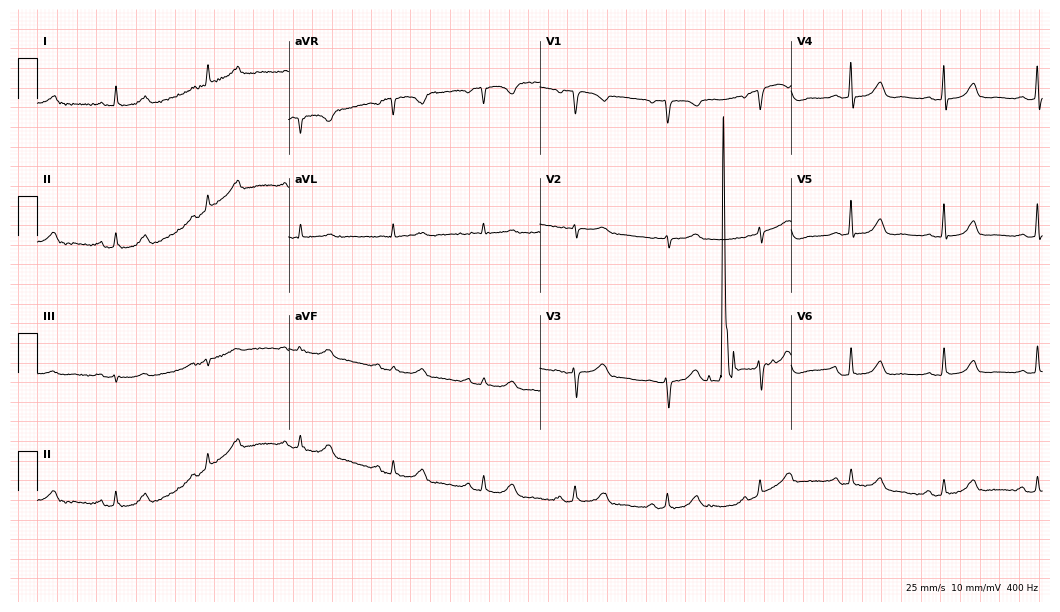
Electrocardiogram (10.2-second recording at 400 Hz), a 66-year-old woman. Overall reading on record: normal ECG.